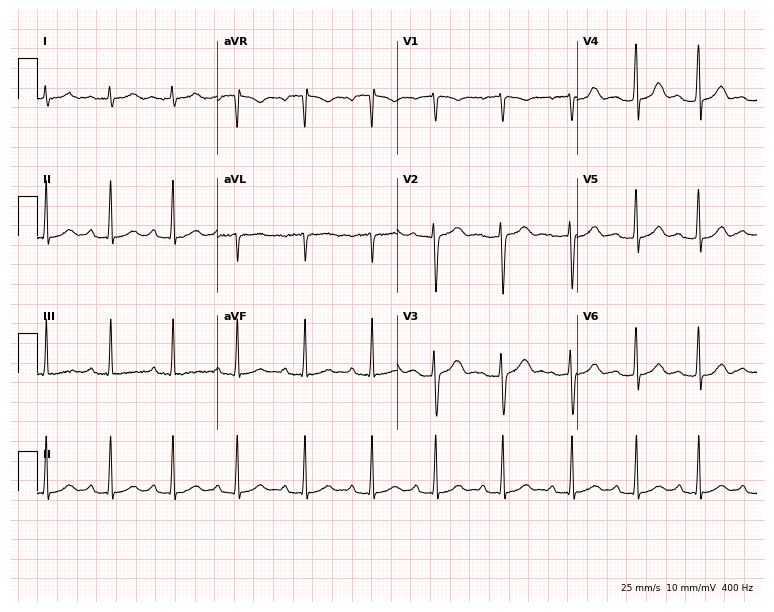
12-lead ECG from a female, 20 years old. No first-degree AV block, right bundle branch block, left bundle branch block, sinus bradycardia, atrial fibrillation or sinus tachycardia recorded for this tracing.